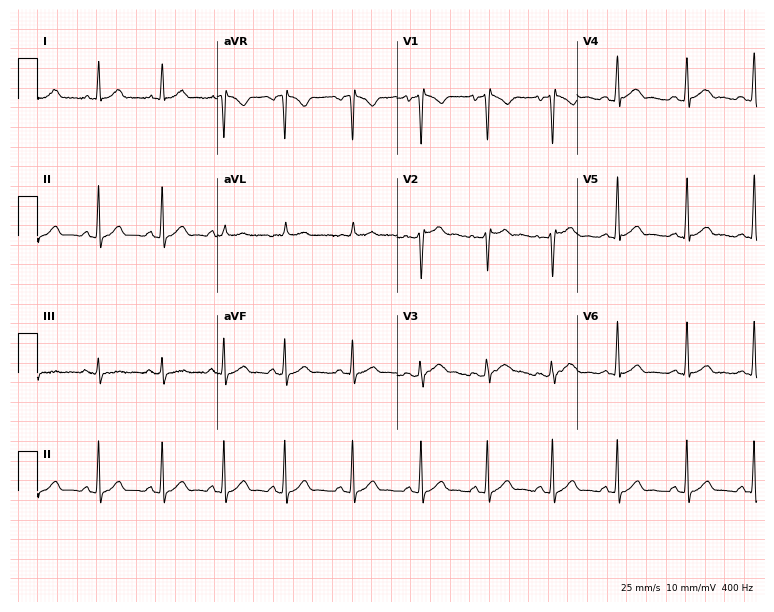
Electrocardiogram (7.3-second recording at 400 Hz), a 24-year-old male. Of the six screened findings (first-degree AV block, right bundle branch block, left bundle branch block, sinus bradycardia, atrial fibrillation, sinus tachycardia), none is recorded.